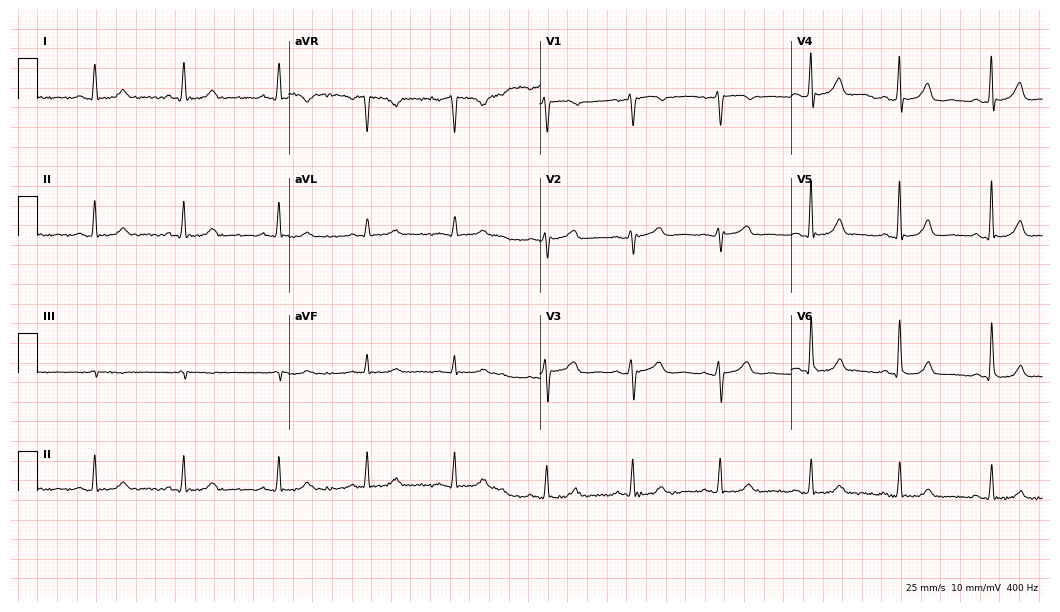
12-lead ECG from a 57-year-old woman. Labelled as a normal ECG.